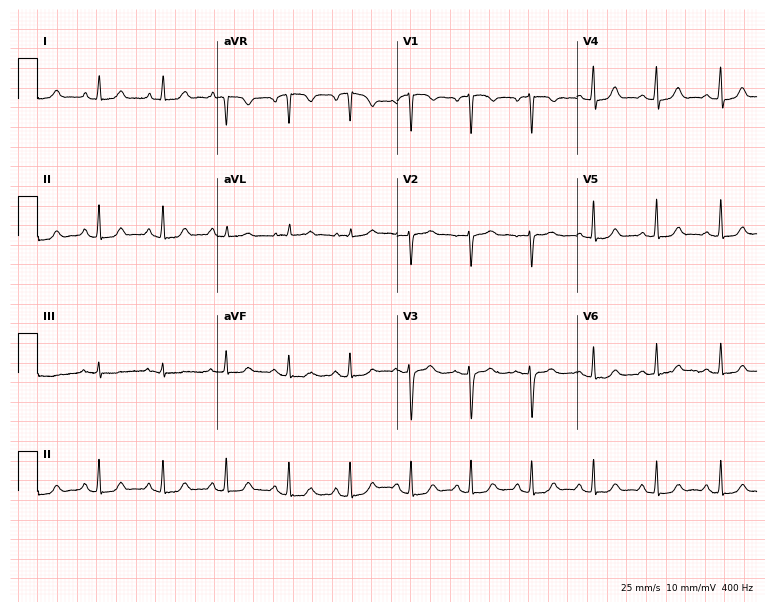
Resting 12-lead electrocardiogram. Patient: a female, 44 years old. Read as a normal ECG.